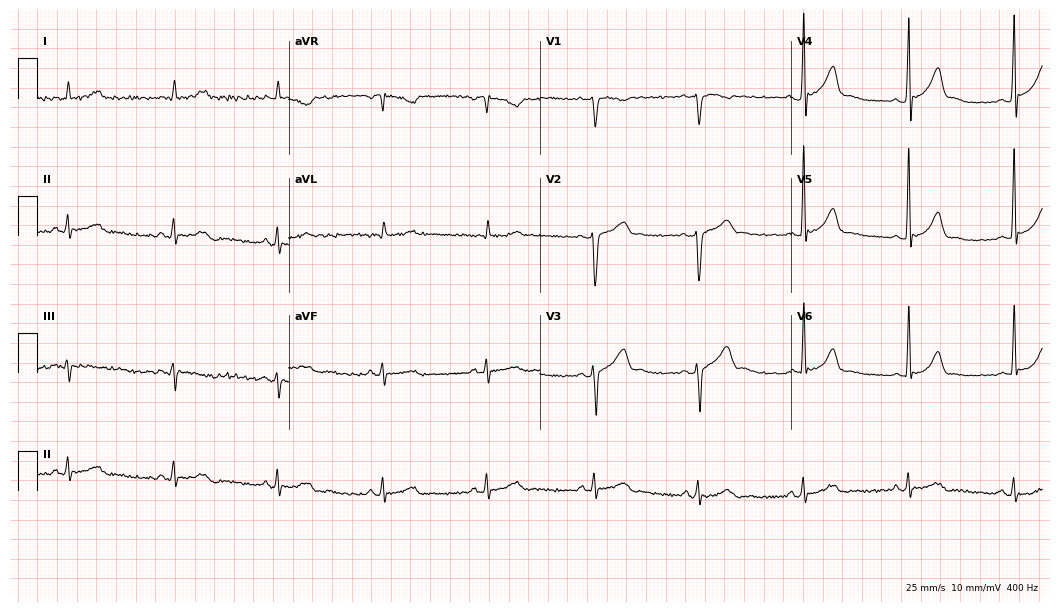
Electrocardiogram (10.2-second recording at 400 Hz), a male, 43 years old. Overall reading on record: normal ECG.